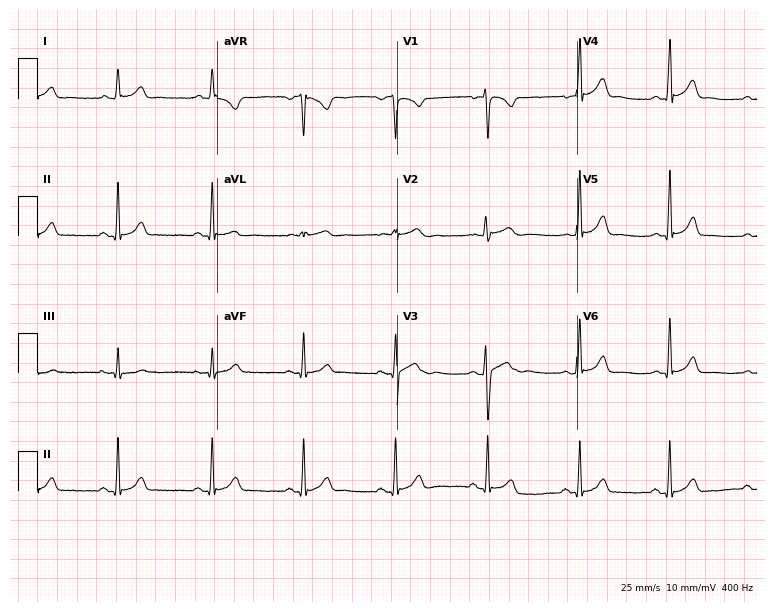
ECG — a female patient, 31 years old. Labelled as a normal ECG.